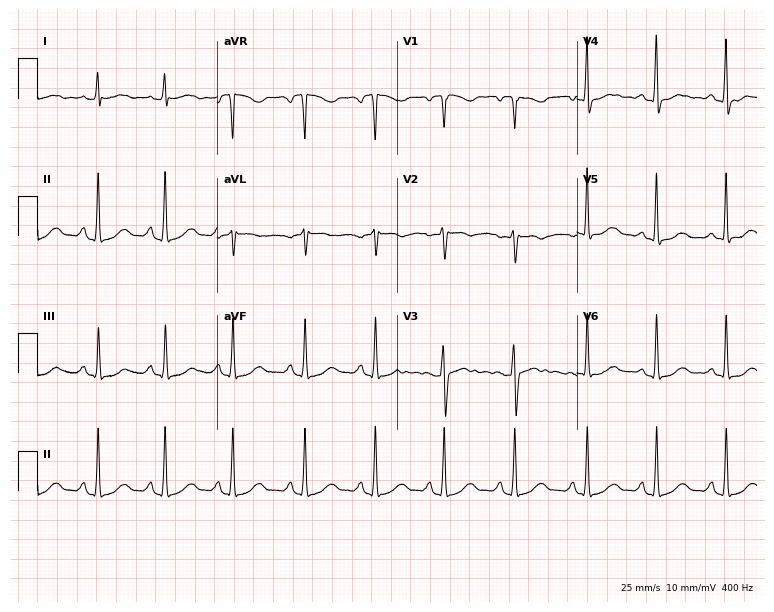
Resting 12-lead electrocardiogram. Patient: a 27-year-old female. None of these six findings is recorded: first-degree AV block, right bundle branch block, left bundle branch block, sinus bradycardia, atrial fibrillation, sinus tachycardia. Only these six findings were labelled.